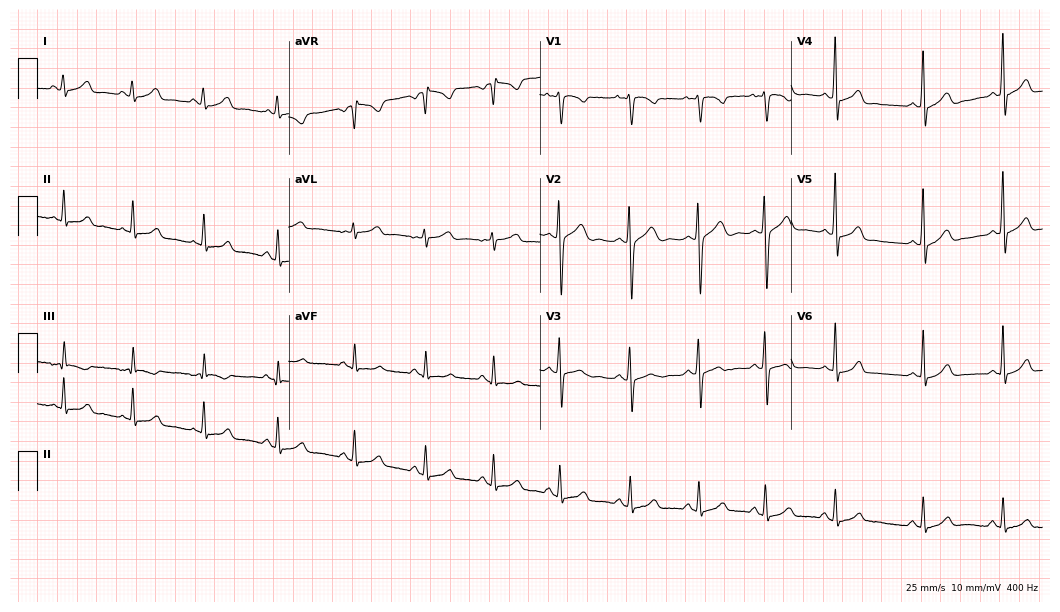
12-lead ECG from a woman, 19 years old. Recorded interpretation: within normal limits.